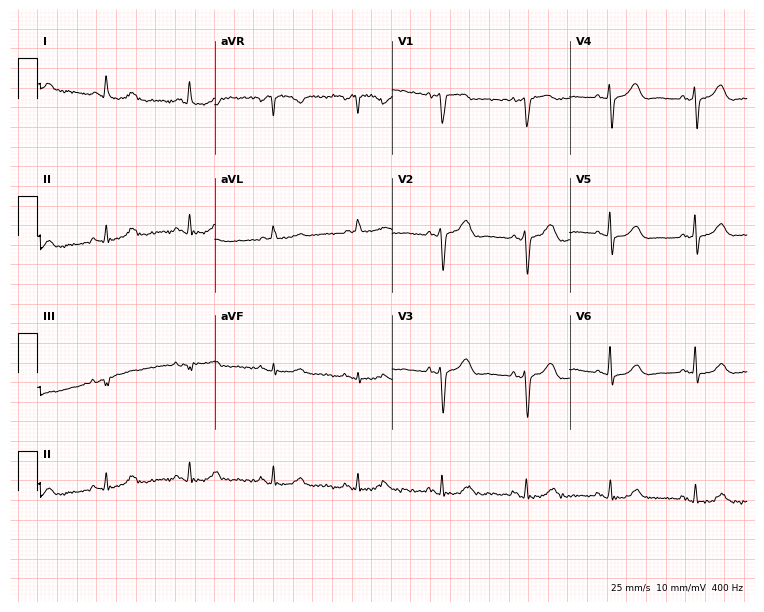
Standard 12-lead ECG recorded from a woman, 85 years old (7.2-second recording at 400 Hz). None of these six findings is recorded: first-degree AV block, right bundle branch block (RBBB), left bundle branch block (LBBB), sinus bradycardia, atrial fibrillation (AF), sinus tachycardia.